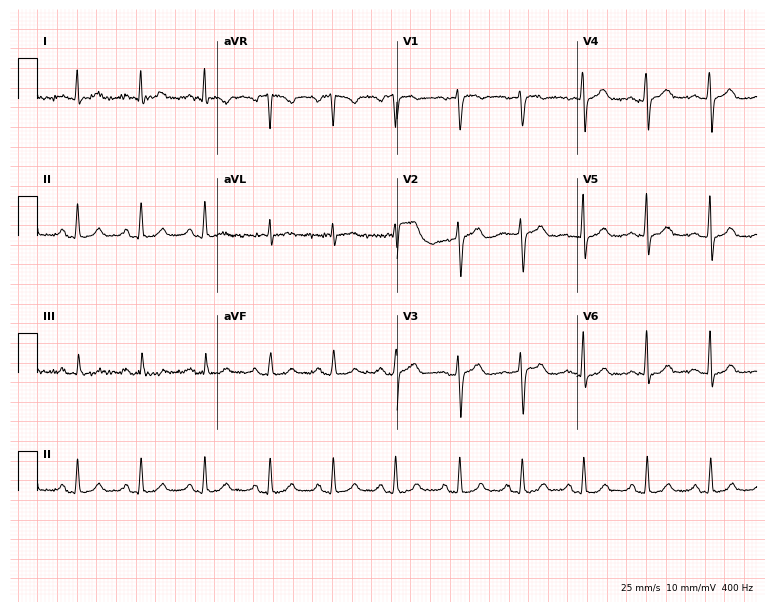
12-lead ECG (7.3-second recording at 400 Hz) from a female, 44 years old. Screened for six findings — first-degree AV block, right bundle branch block, left bundle branch block, sinus bradycardia, atrial fibrillation, sinus tachycardia — none is recorded. Other findings, if any, are not listed.